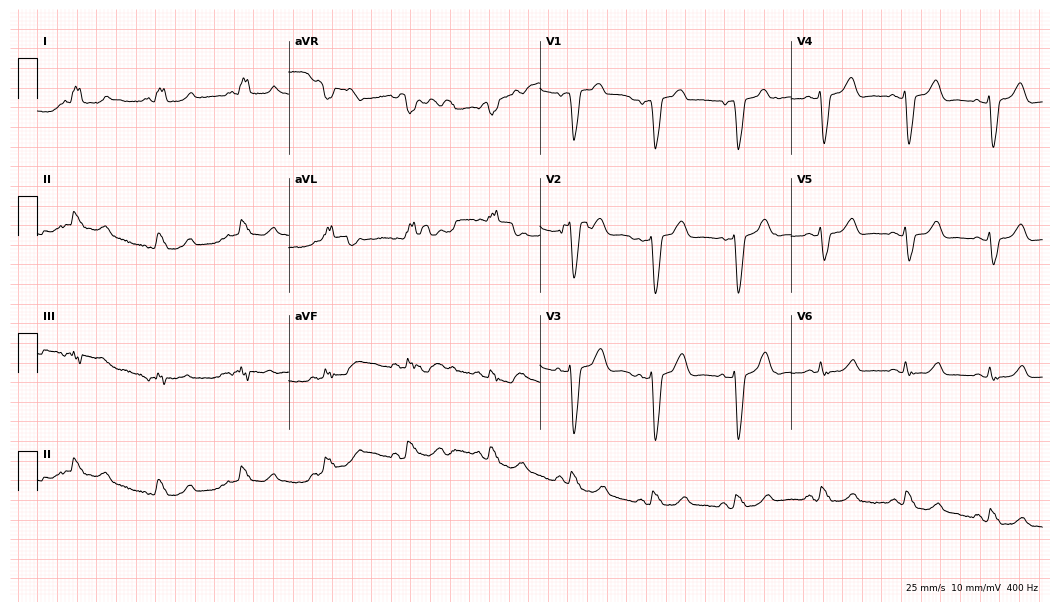
Standard 12-lead ECG recorded from a female patient, 85 years old (10.2-second recording at 400 Hz). The tracing shows left bundle branch block (LBBB).